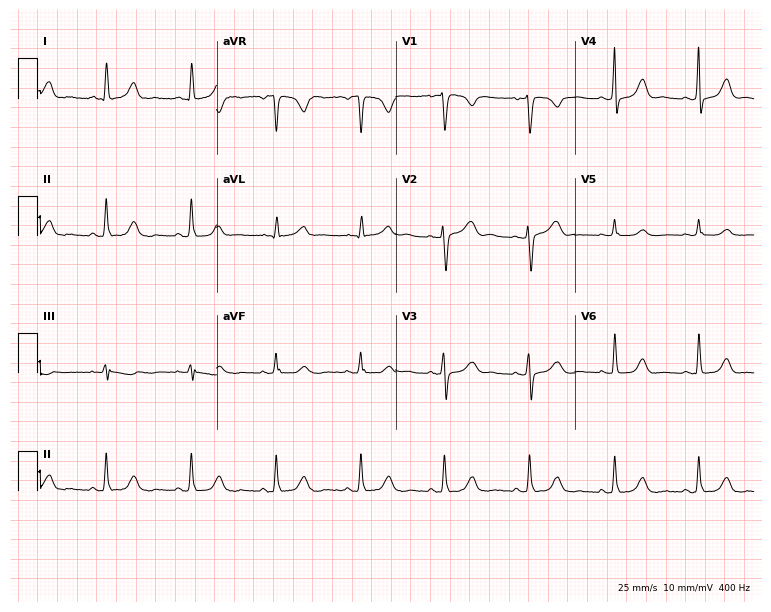
Electrocardiogram, a 37-year-old female patient. Of the six screened findings (first-degree AV block, right bundle branch block, left bundle branch block, sinus bradycardia, atrial fibrillation, sinus tachycardia), none is recorded.